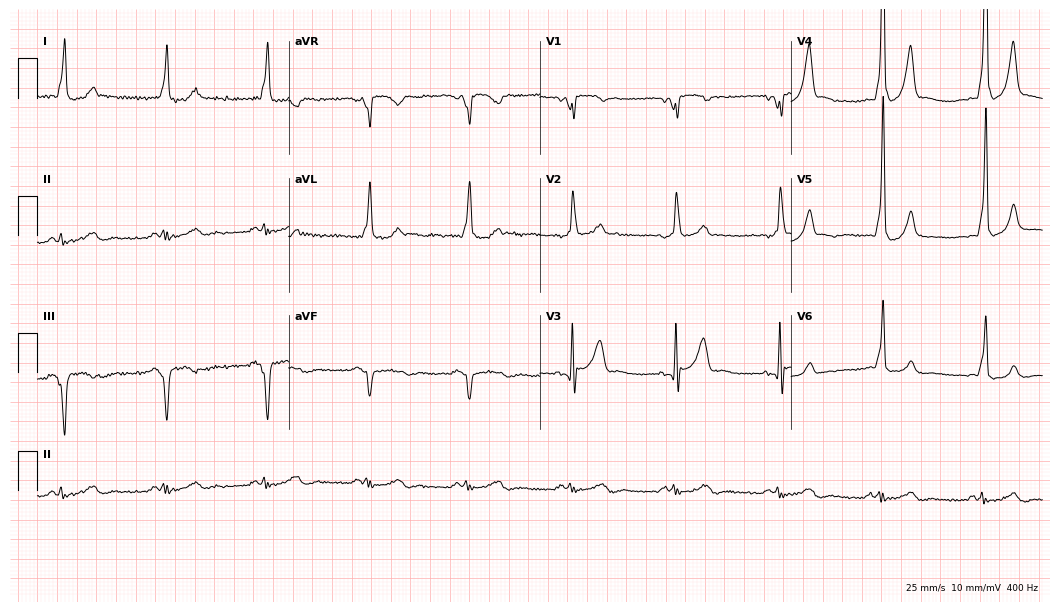
12-lead ECG from a 53-year-old man (10.2-second recording at 400 Hz). No first-degree AV block, right bundle branch block, left bundle branch block, sinus bradycardia, atrial fibrillation or sinus tachycardia recorded for this tracing.